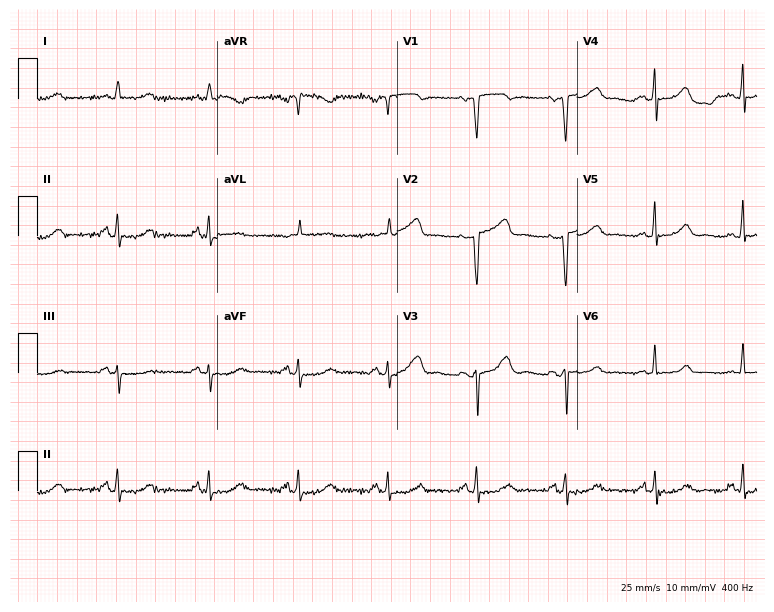
ECG — an 81-year-old woman. Screened for six findings — first-degree AV block, right bundle branch block, left bundle branch block, sinus bradycardia, atrial fibrillation, sinus tachycardia — none is recorded.